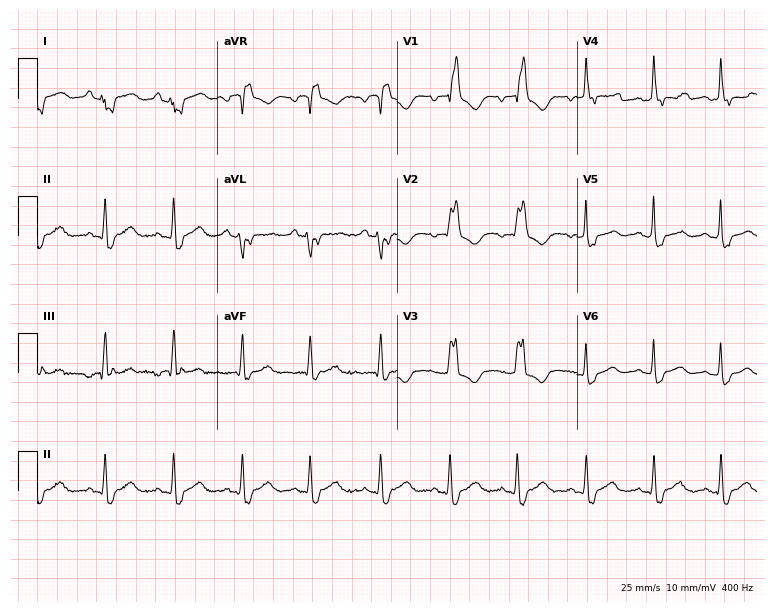
Resting 12-lead electrocardiogram. Patient: a woman, 64 years old. The tracing shows right bundle branch block (RBBB).